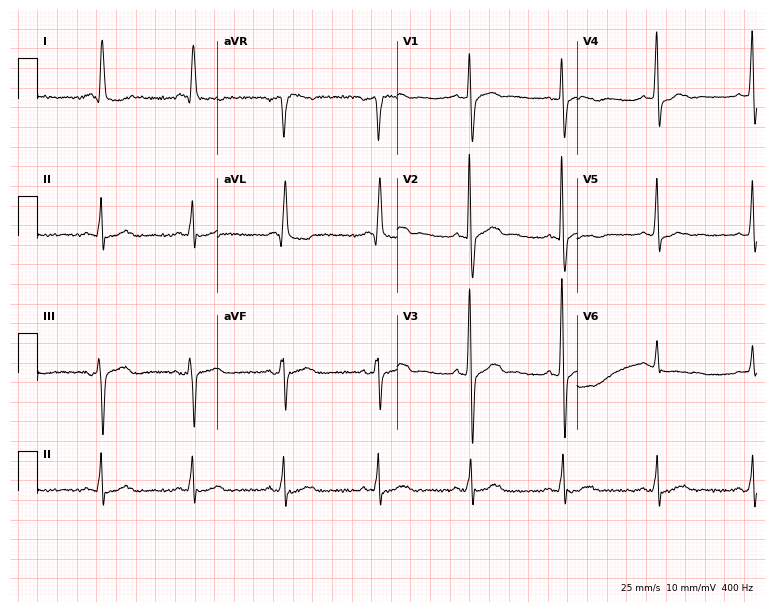
12-lead ECG from a woman, 69 years old. No first-degree AV block, right bundle branch block, left bundle branch block, sinus bradycardia, atrial fibrillation or sinus tachycardia recorded for this tracing.